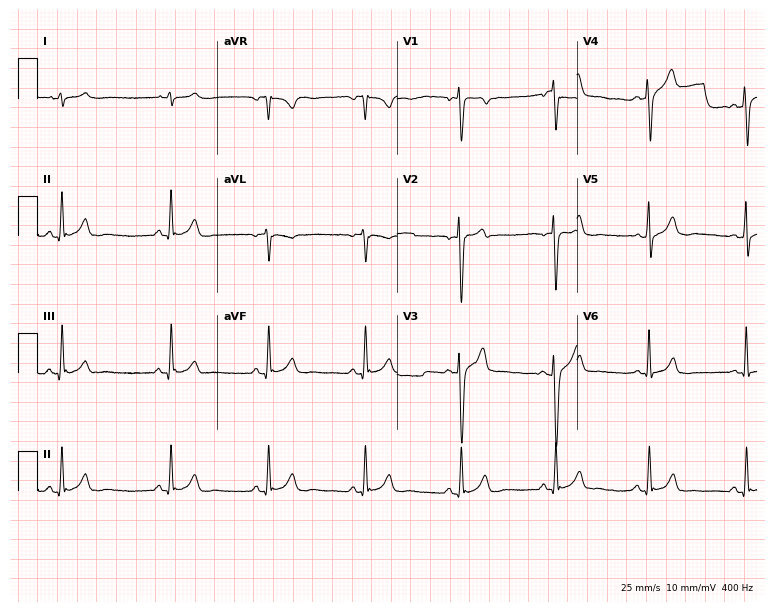
12-lead ECG from a male, 23 years old. No first-degree AV block, right bundle branch block, left bundle branch block, sinus bradycardia, atrial fibrillation or sinus tachycardia recorded for this tracing. Only these six findings were labelled.